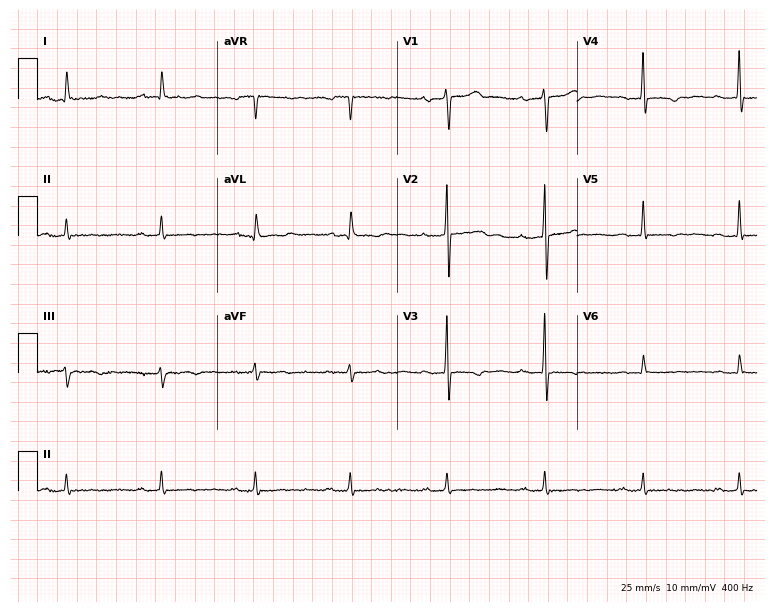
Resting 12-lead electrocardiogram (7.3-second recording at 400 Hz). Patient: a 63-year-old male. None of these six findings is recorded: first-degree AV block, right bundle branch block (RBBB), left bundle branch block (LBBB), sinus bradycardia, atrial fibrillation (AF), sinus tachycardia.